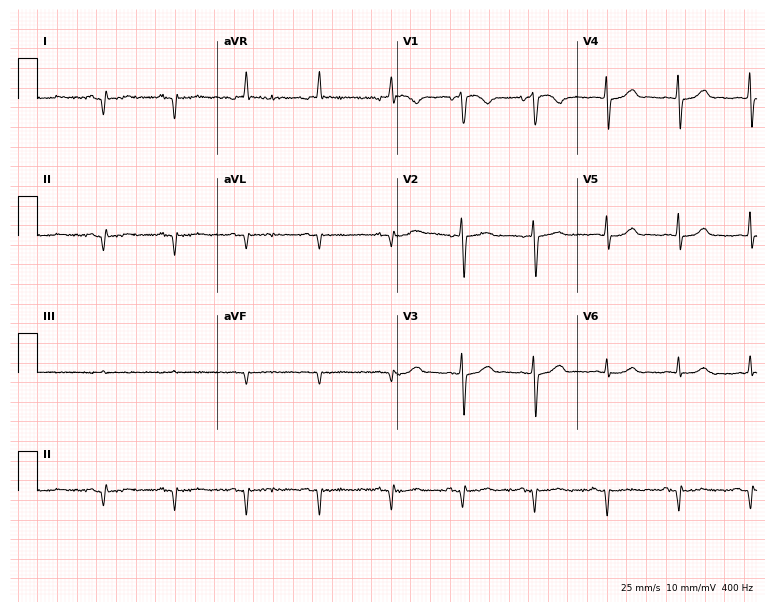
Electrocardiogram, a 74-year-old woman. Of the six screened findings (first-degree AV block, right bundle branch block (RBBB), left bundle branch block (LBBB), sinus bradycardia, atrial fibrillation (AF), sinus tachycardia), none is recorded. Other findings, if any, are not listed.